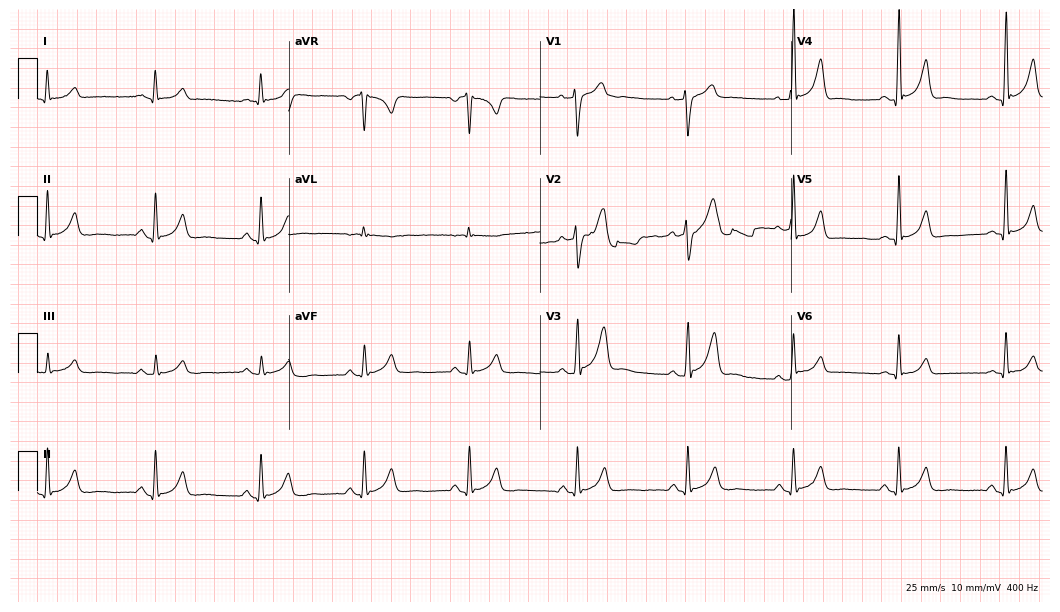
12-lead ECG from a 38-year-old woman (10.2-second recording at 400 Hz). No first-degree AV block, right bundle branch block, left bundle branch block, sinus bradycardia, atrial fibrillation or sinus tachycardia recorded for this tracing.